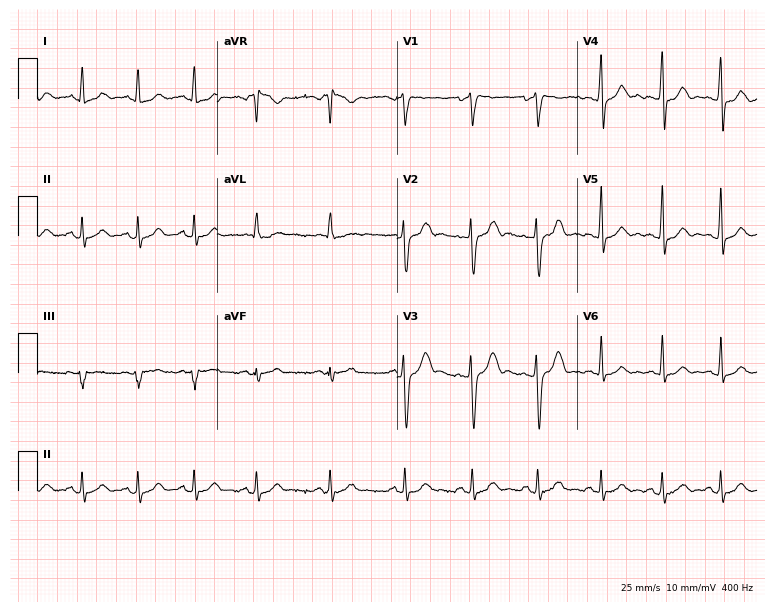
Electrocardiogram, a man, 25 years old. Overall reading on record: normal ECG.